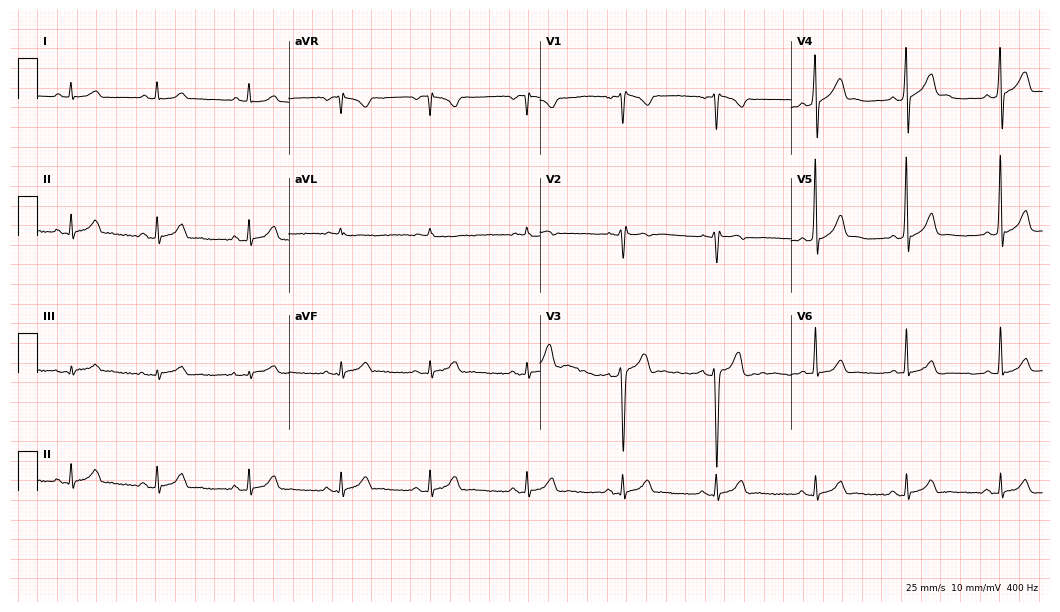
ECG (10.2-second recording at 400 Hz) — a male patient, 24 years old. Screened for six findings — first-degree AV block, right bundle branch block (RBBB), left bundle branch block (LBBB), sinus bradycardia, atrial fibrillation (AF), sinus tachycardia — none is recorded. Findings outside these six are not listed.